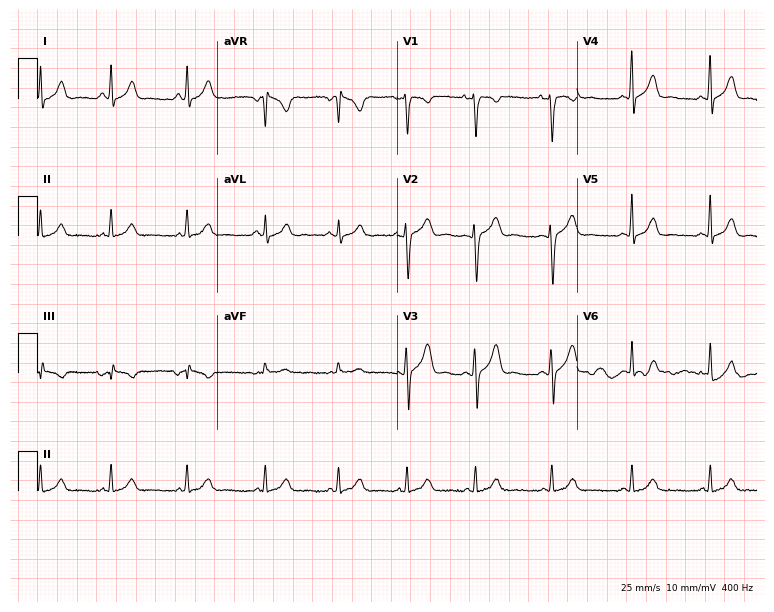
Resting 12-lead electrocardiogram (7.3-second recording at 400 Hz). Patient: a female, 17 years old. None of these six findings is recorded: first-degree AV block, right bundle branch block (RBBB), left bundle branch block (LBBB), sinus bradycardia, atrial fibrillation (AF), sinus tachycardia.